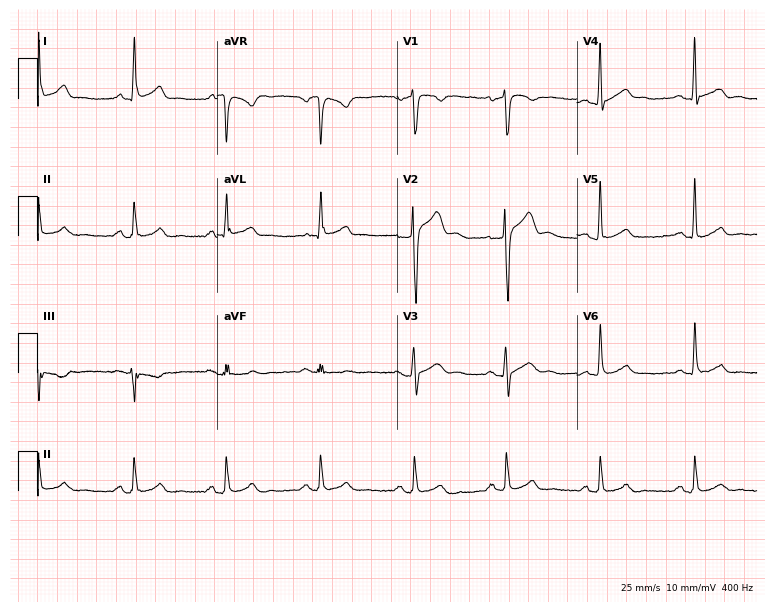
12-lead ECG (7.3-second recording at 400 Hz) from a man, 48 years old. Labelled as a normal ECG.